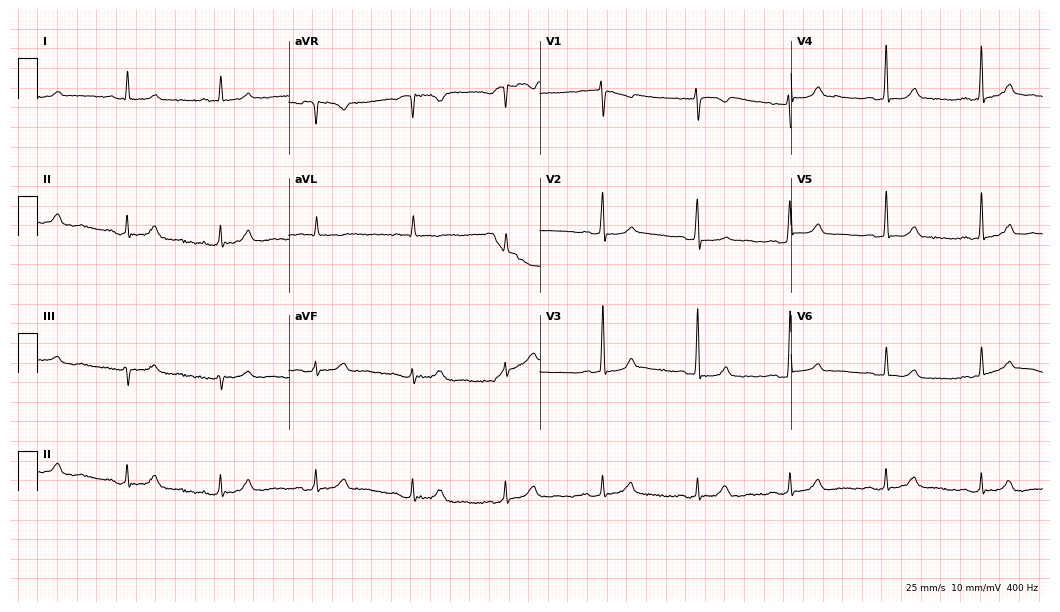
Electrocardiogram (10.2-second recording at 400 Hz), a 70-year-old female. Overall reading on record: normal ECG.